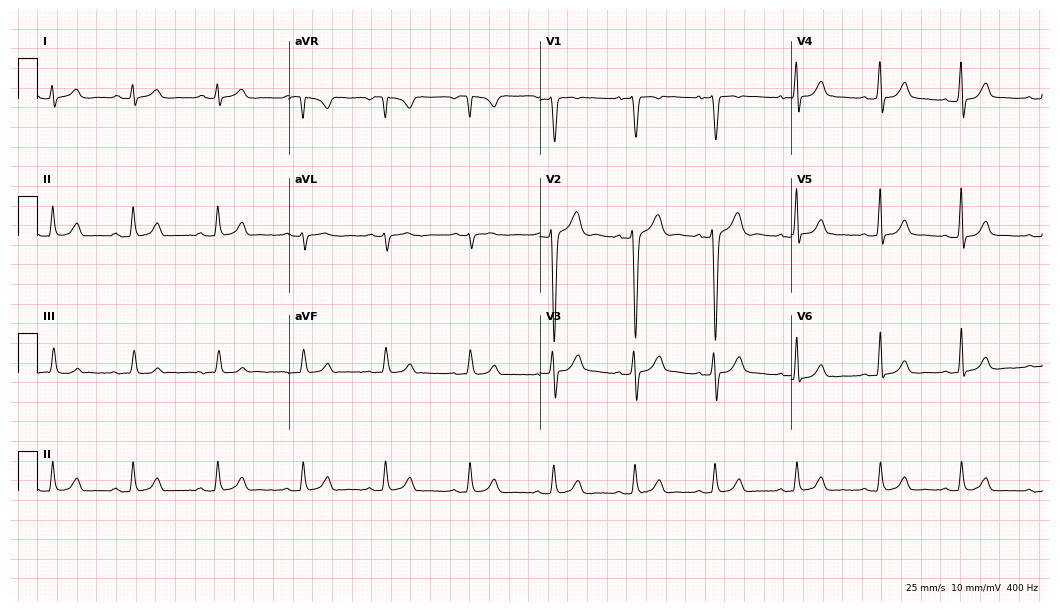
12-lead ECG from a male patient, 29 years old (10.2-second recording at 400 Hz). Recorded interpretation: within normal limits.